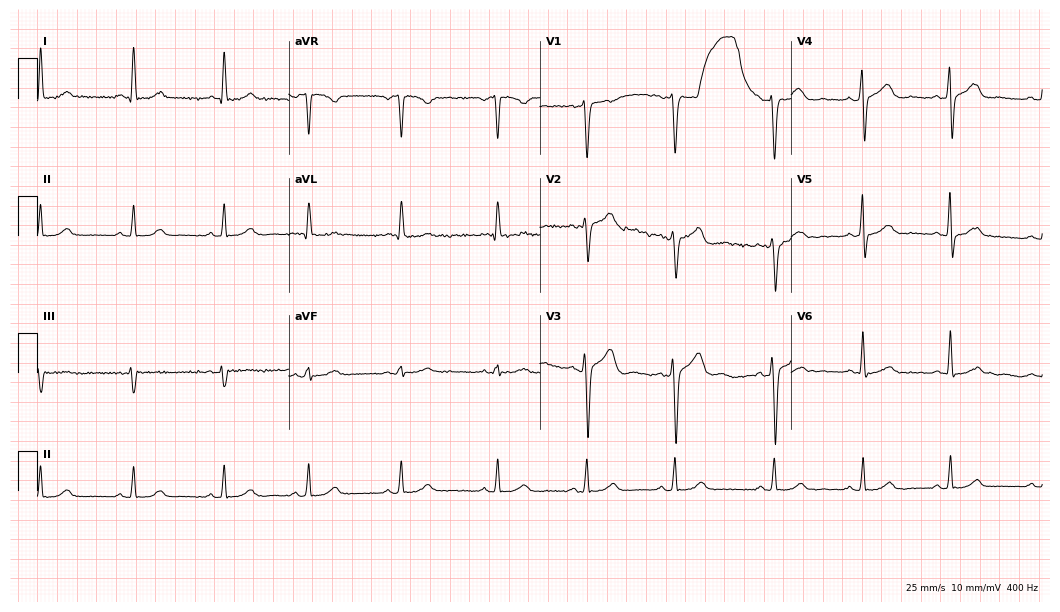
12-lead ECG (10.2-second recording at 400 Hz) from a 36-year-old male patient. Labelled as a normal ECG.